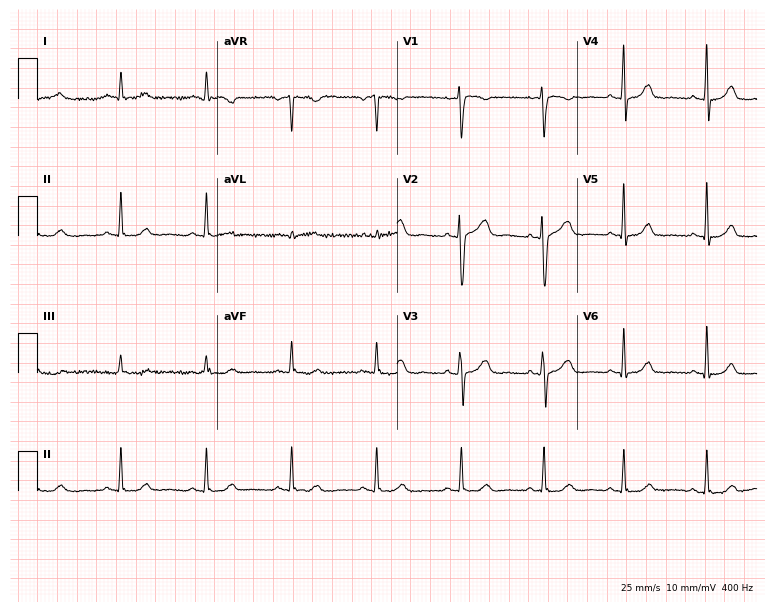
ECG — a female, 44 years old. Labelled as a normal ECG.